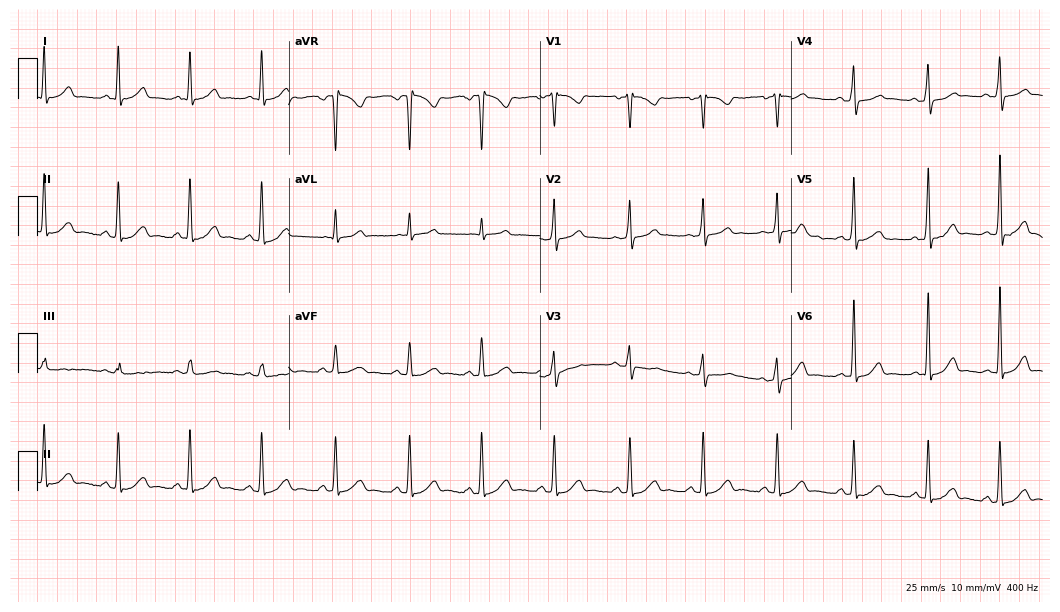
12-lead ECG (10.2-second recording at 400 Hz) from a female, 41 years old. Labelled as a normal ECG.